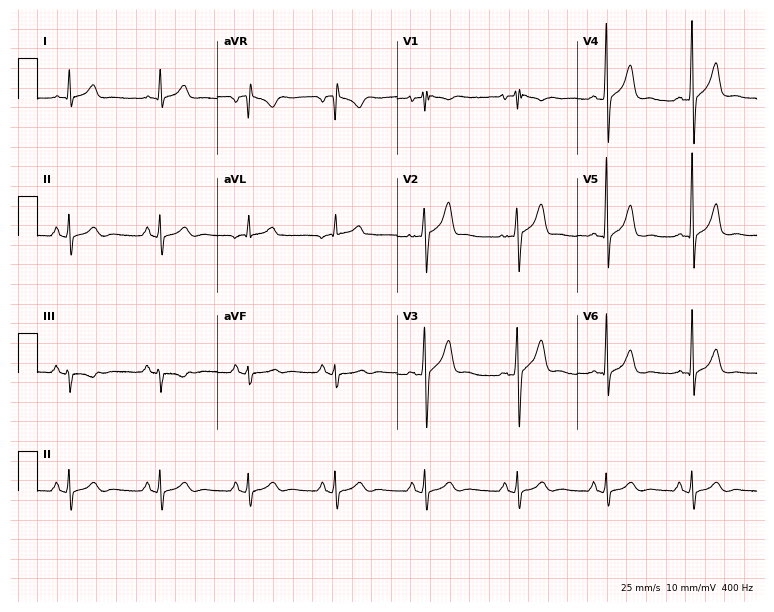
ECG — a 47-year-old man. Screened for six findings — first-degree AV block, right bundle branch block (RBBB), left bundle branch block (LBBB), sinus bradycardia, atrial fibrillation (AF), sinus tachycardia — none is recorded. Findings outside these six are not listed.